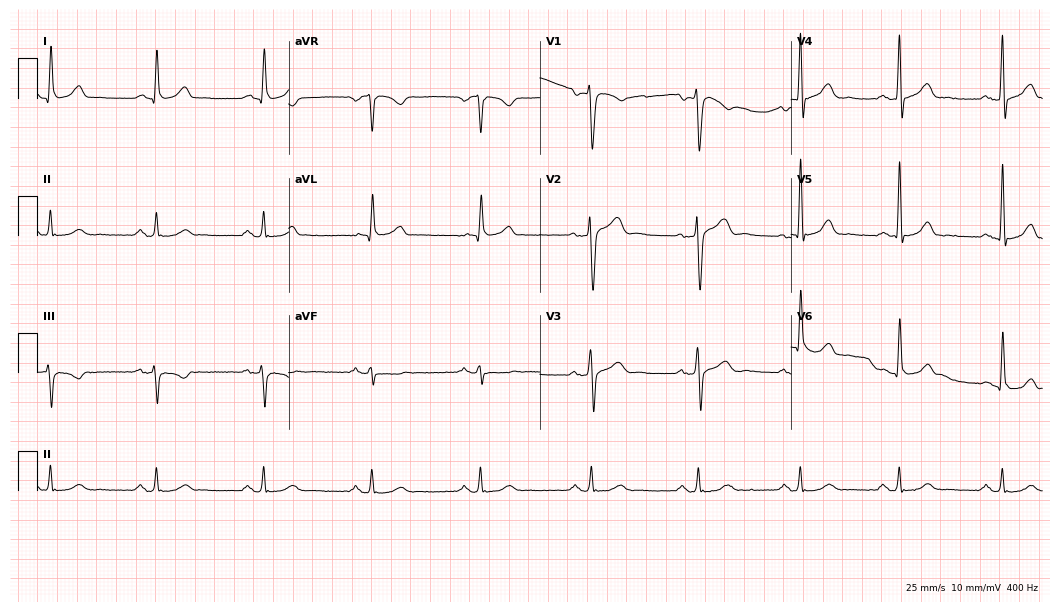
12-lead ECG (10.2-second recording at 400 Hz) from a 59-year-old man. Labelled as a normal ECG.